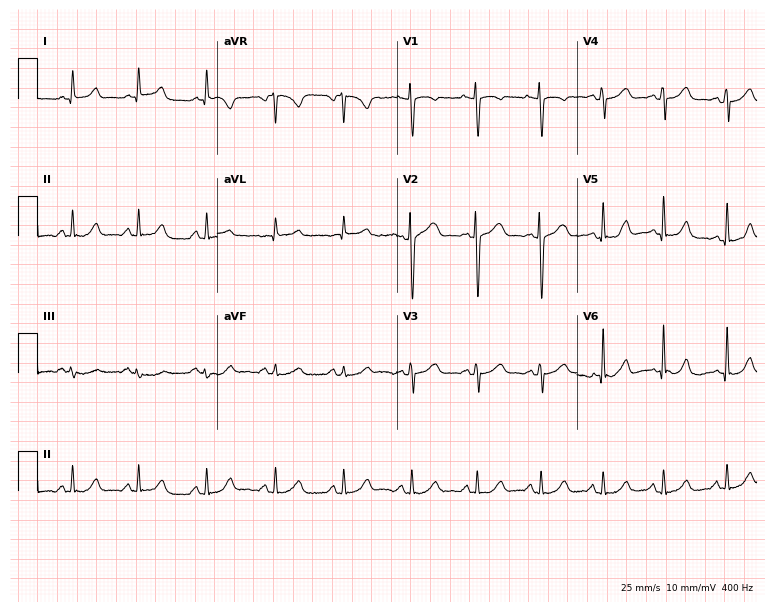
ECG (7.3-second recording at 400 Hz) — a 35-year-old woman. Labelled as a normal ECG.